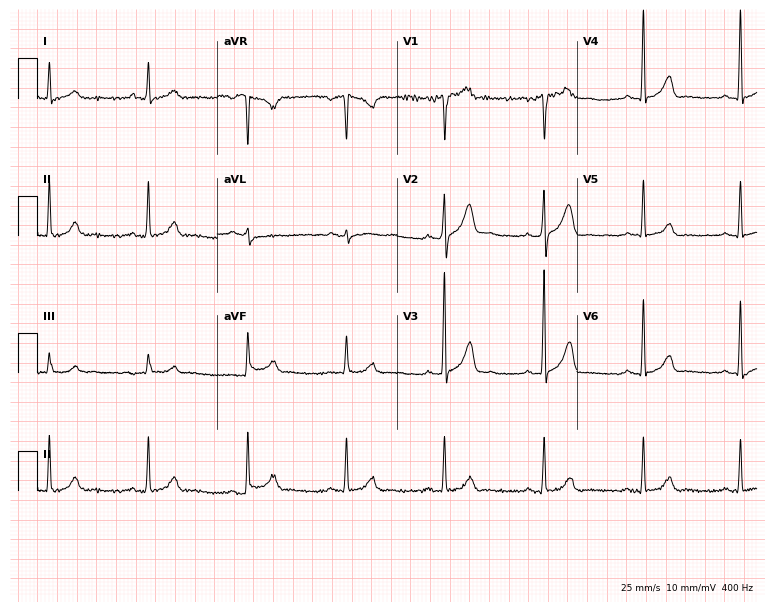
Electrocardiogram, a male patient, 46 years old. Of the six screened findings (first-degree AV block, right bundle branch block, left bundle branch block, sinus bradycardia, atrial fibrillation, sinus tachycardia), none is recorded. Other findings, if any, are not listed.